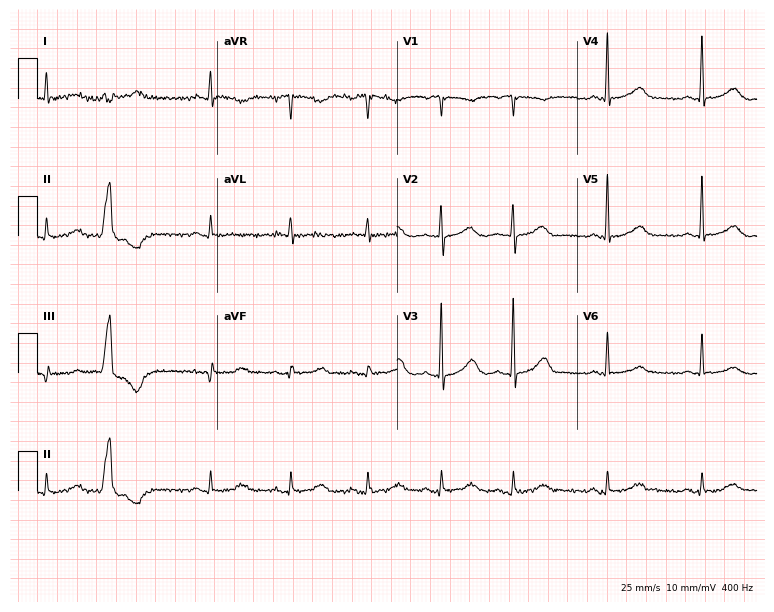
Standard 12-lead ECG recorded from a 71-year-old female. None of these six findings is recorded: first-degree AV block, right bundle branch block, left bundle branch block, sinus bradycardia, atrial fibrillation, sinus tachycardia.